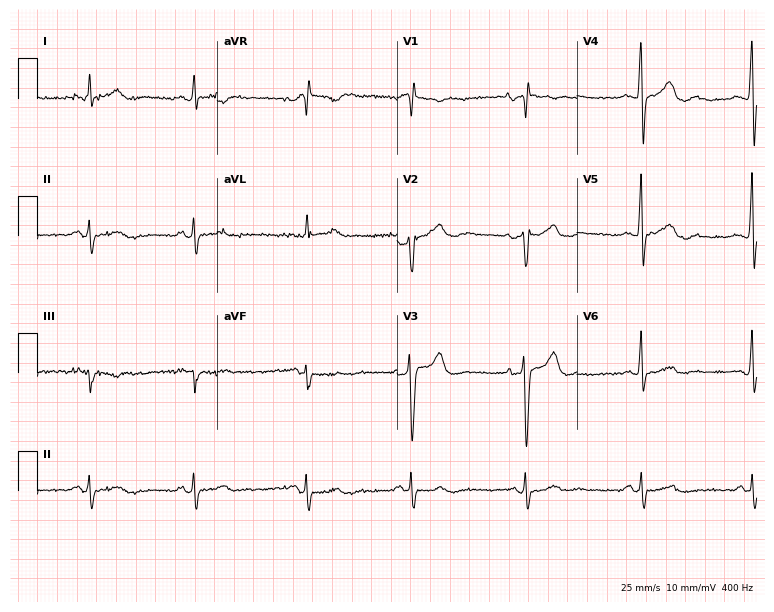
Resting 12-lead electrocardiogram. Patient: a 71-year-old male. None of these six findings is recorded: first-degree AV block, right bundle branch block, left bundle branch block, sinus bradycardia, atrial fibrillation, sinus tachycardia.